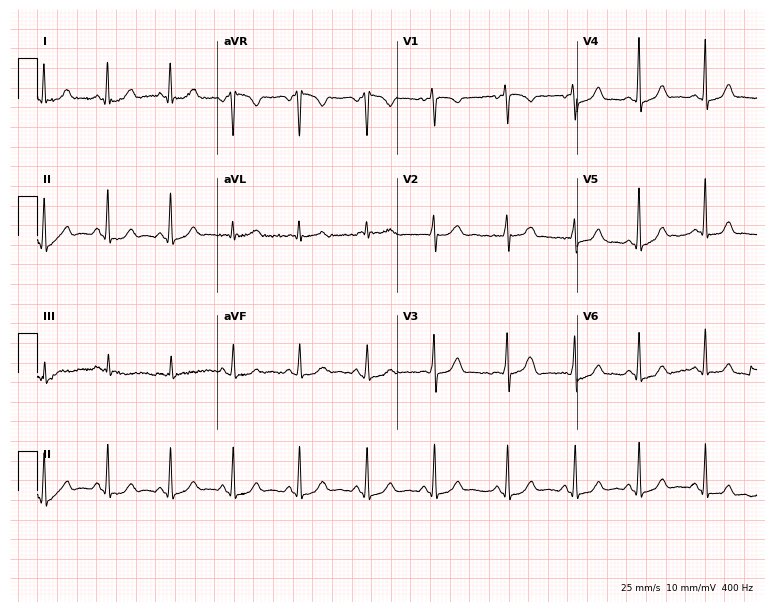
ECG (7.3-second recording at 400 Hz) — a 28-year-old female patient. Labelled as a normal ECG.